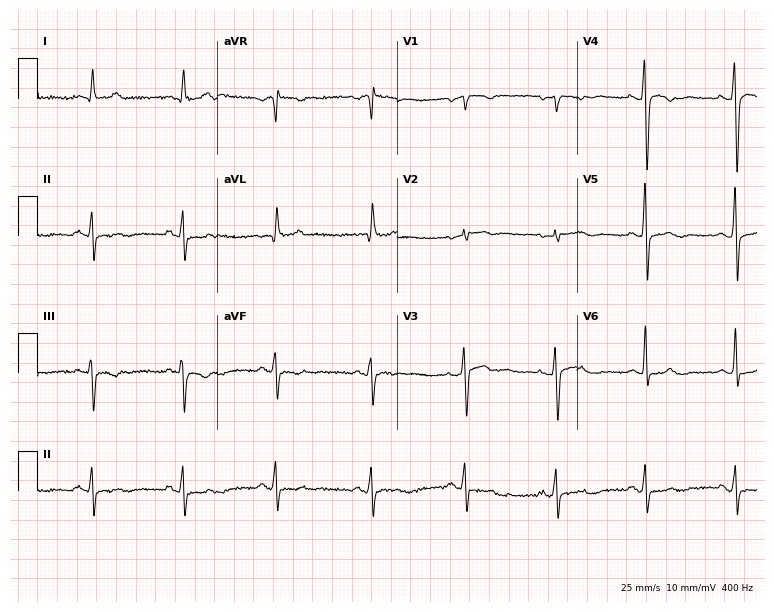
Standard 12-lead ECG recorded from a male, 64 years old (7.3-second recording at 400 Hz). None of these six findings is recorded: first-degree AV block, right bundle branch block, left bundle branch block, sinus bradycardia, atrial fibrillation, sinus tachycardia. Only these six findings were labelled.